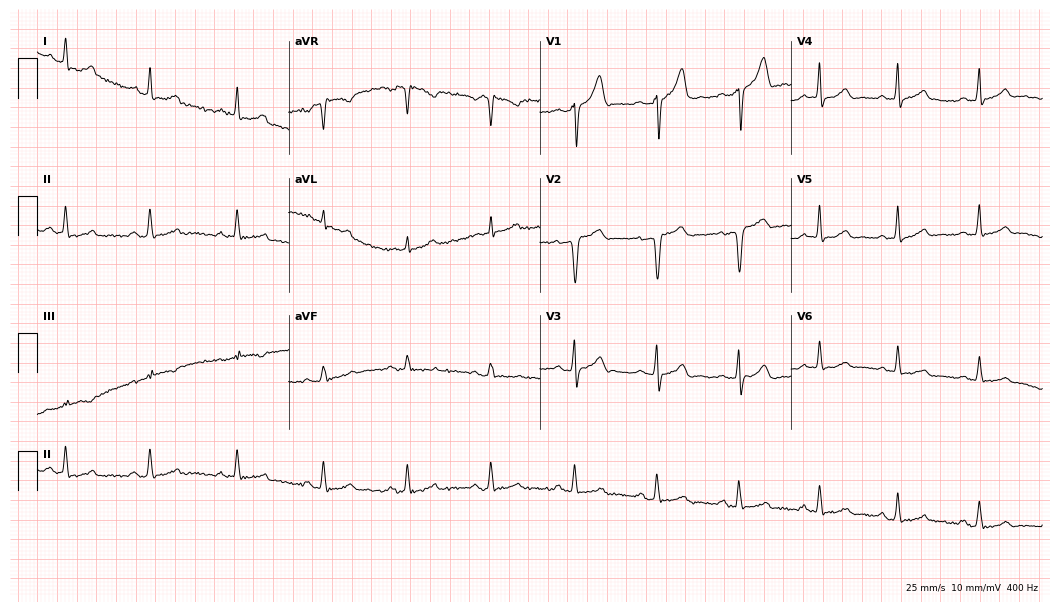
Electrocardiogram, a 47-year-old man. Of the six screened findings (first-degree AV block, right bundle branch block, left bundle branch block, sinus bradycardia, atrial fibrillation, sinus tachycardia), none is recorded. Findings outside these six are not listed.